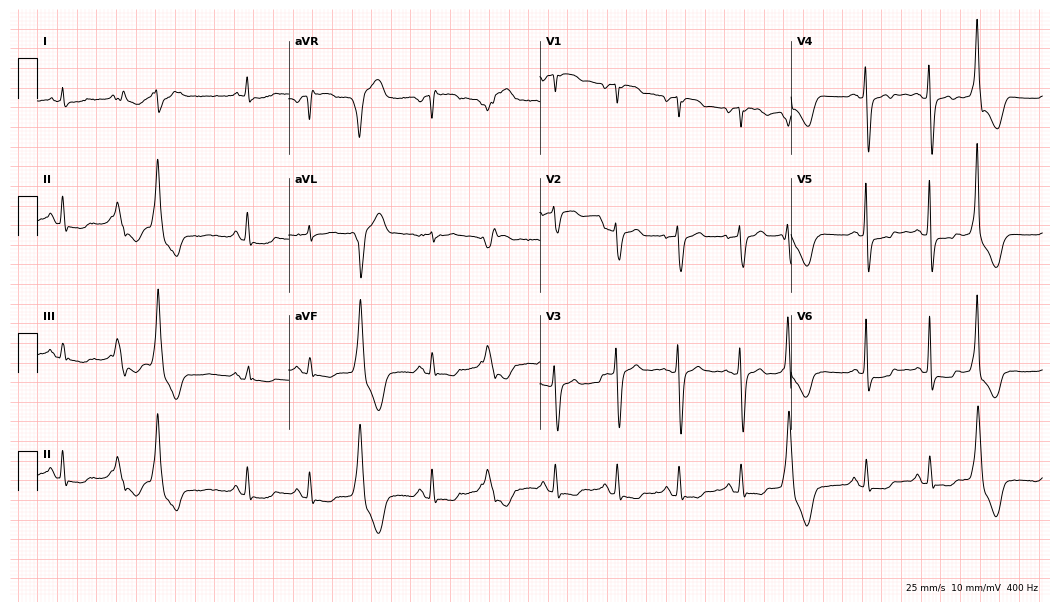
Resting 12-lead electrocardiogram. Patient: a female, 79 years old. None of these six findings is recorded: first-degree AV block, right bundle branch block (RBBB), left bundle branch block (LBBB), sinus bradycardia, atrial fibrillation (AF), sinus tachycardia.